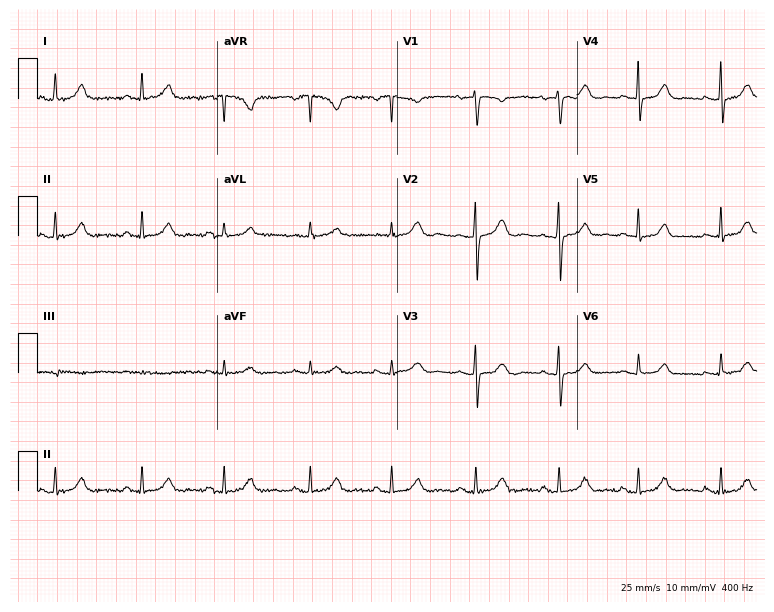
12-lead ECG from a female, 64 years old. Recorded interpretation: within normal limits.